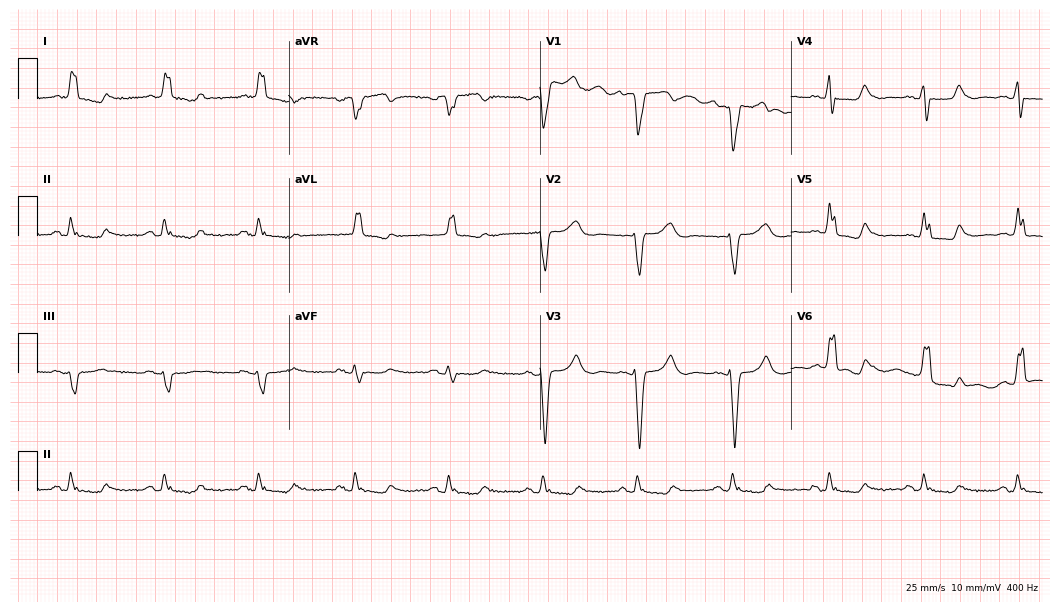
Electrocardiogram, a 73-year-old female. Interpretation includes left bundle branch block (LBBB).